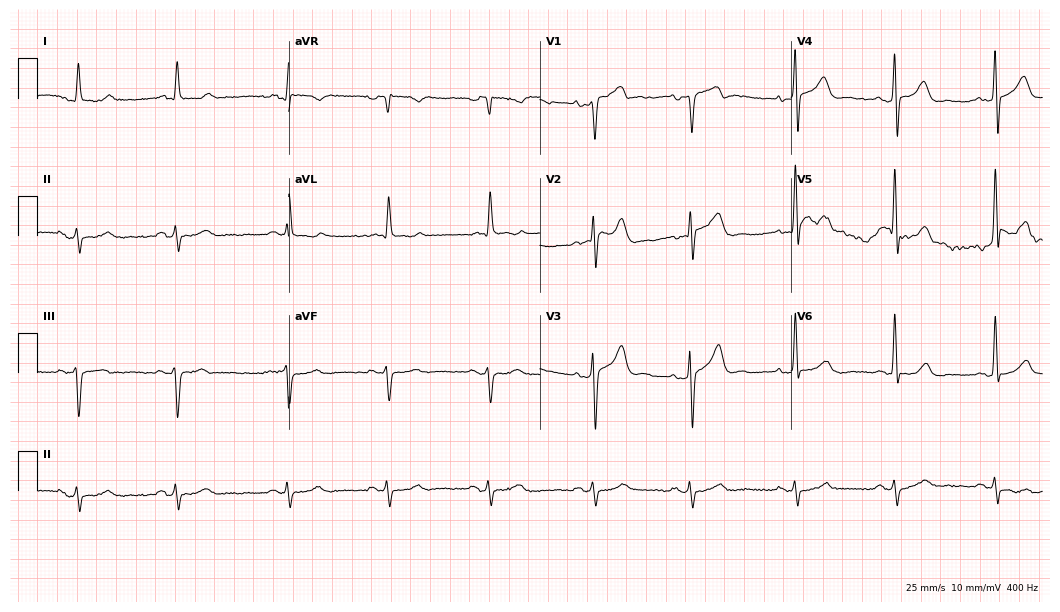
ECG (10.2-second recording at 400 Hz) — a male patient, 76 years old. Labelled as a normal ECG.